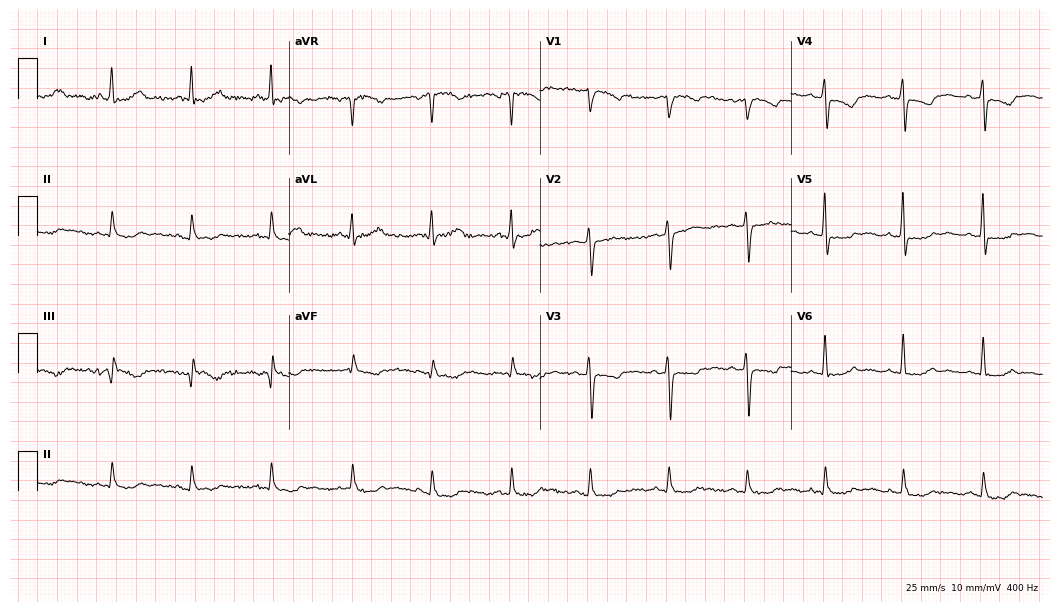
ECG (10.2-second recording at 400 Hz) — a female, 63 years old. Screened for six findings — first-degree AV block, right bundle branch block, left bundle branch block, sinus bradycardia, atrial fibrillation, sinus tachycardia — none is recorded. Findings outside these six are not listed.